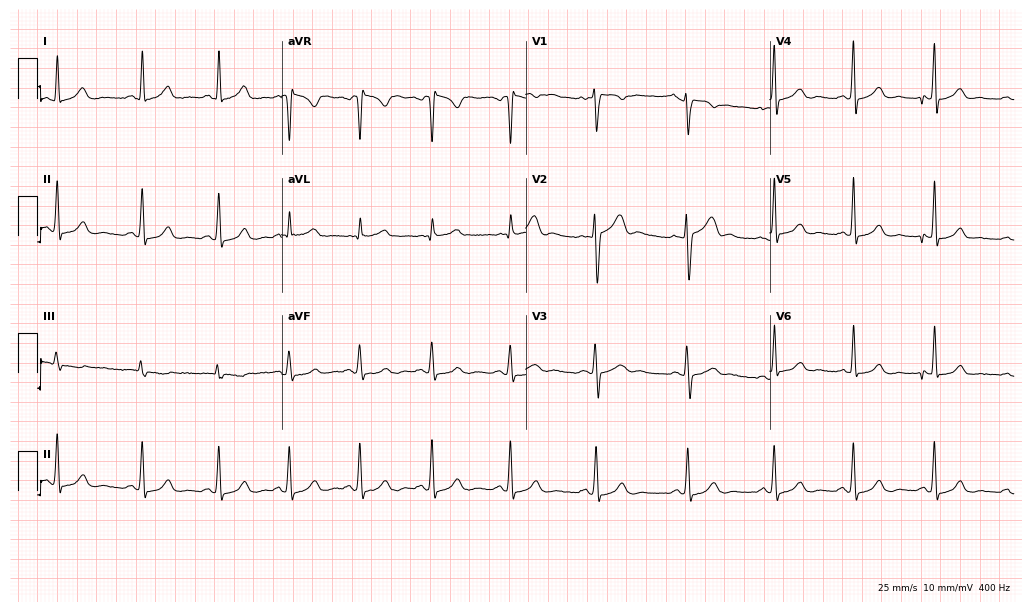
ECG — a 30-year-old woman. Screened for six findings — first-degree AV block, right bundle branch block, left bundle branch block, sinus bradycardia, atrial fibrillation, sinus tachycardia — none is recorded. Only these six findings were labelled.